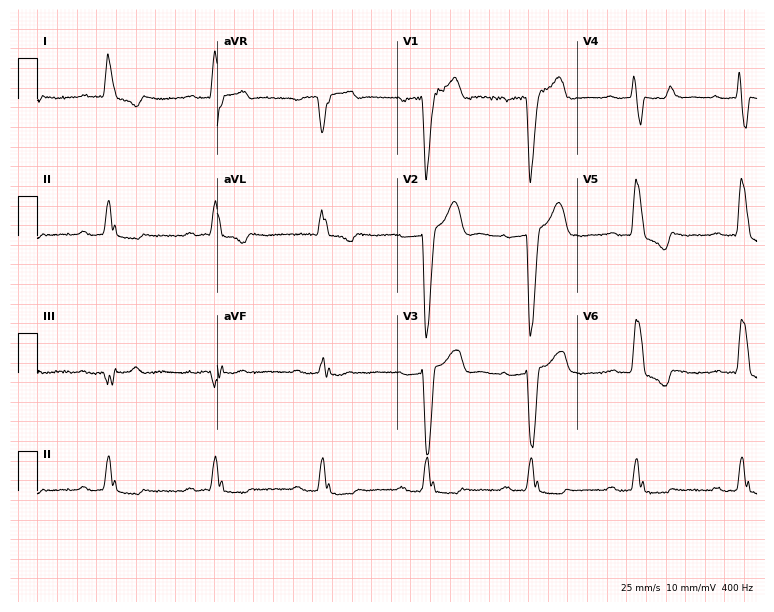
ECG — a female patient, 77 years old. Findings include first-degree AV block, left bundle branch block (LBBB).